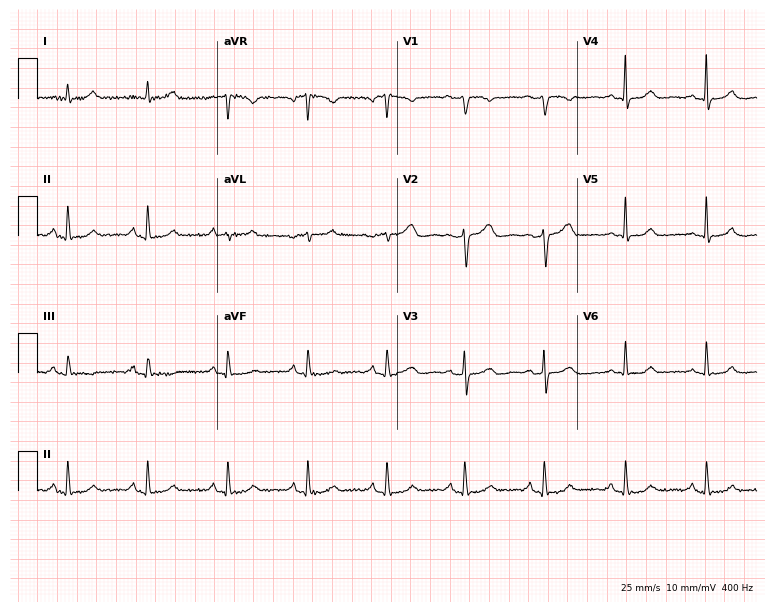
ECG — a 64-year-old female. Labelled as a normal ECG.